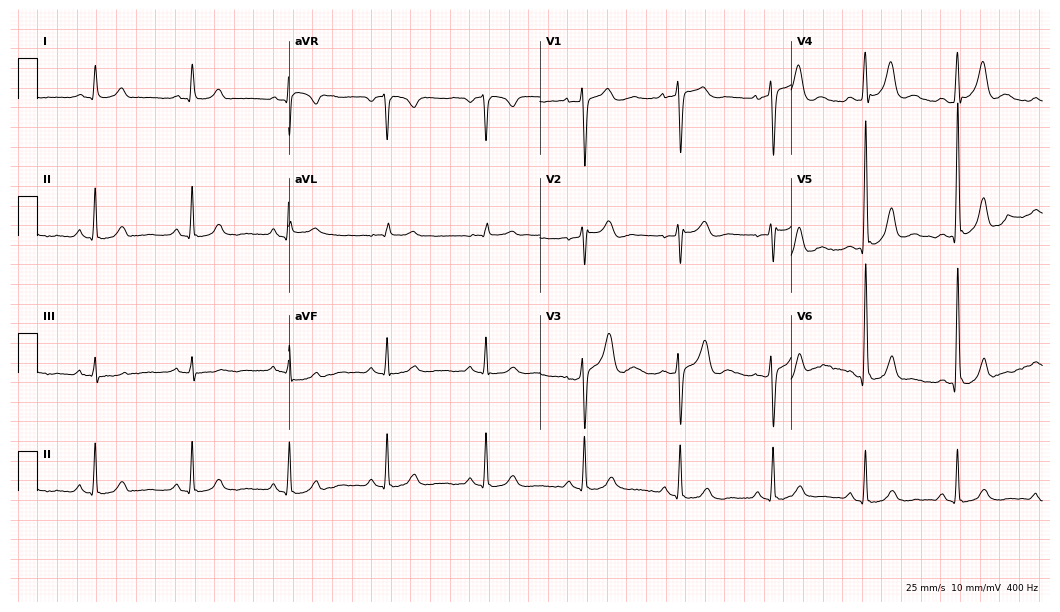
Electrocardiogram, a 60-year-old male patient. Overall reading on record: normal ECG.